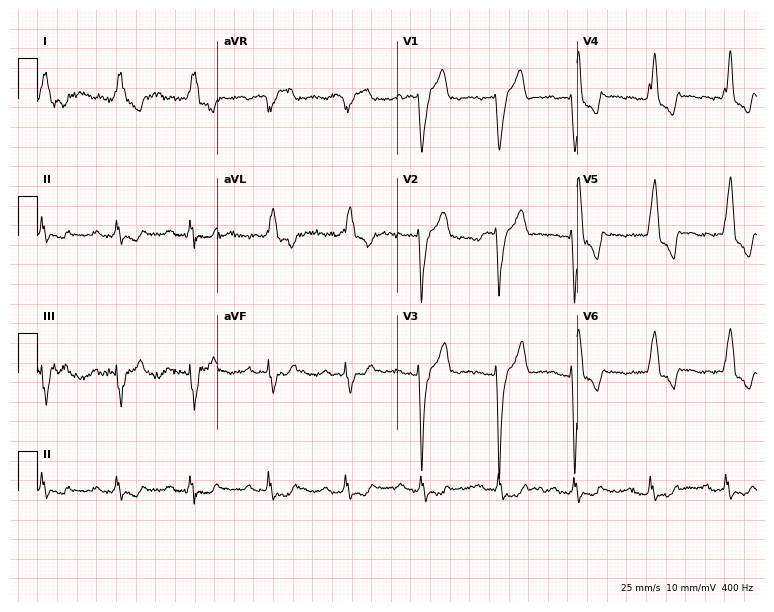
12-lead ECG (7.3-second recording at 400 Hz) from a female, 82 years old. Findings include first-degree AV block, left bundle branch block.